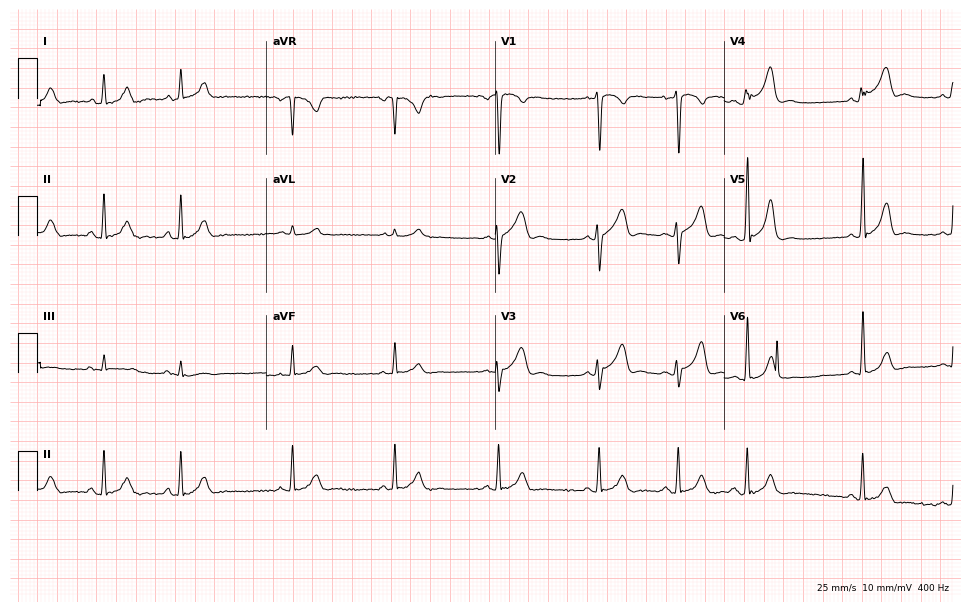
Standard 12-lead ECG recorded from a 19-year-old man. Read as a normal ECG.